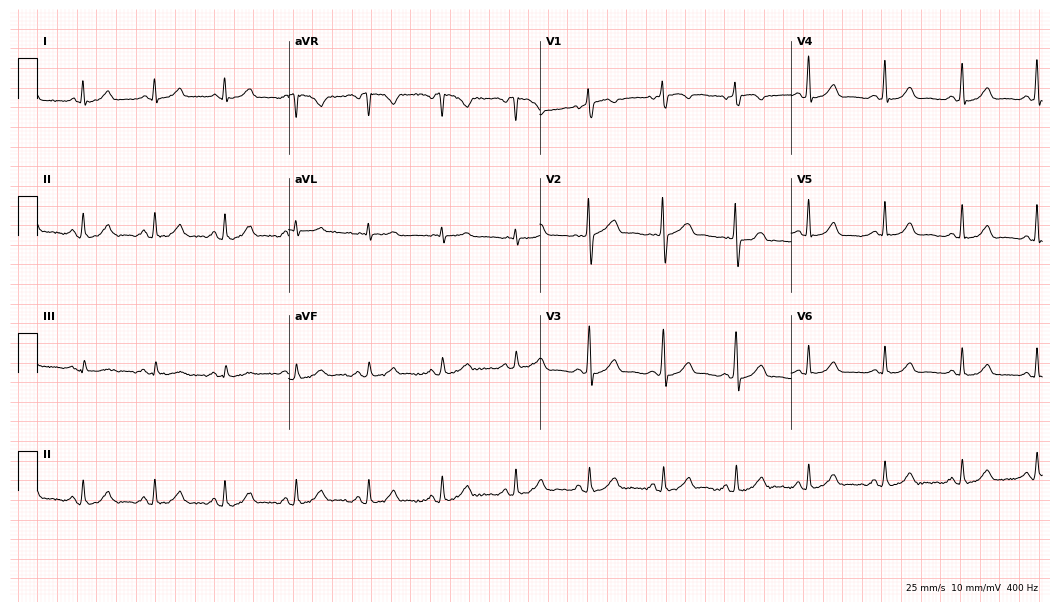
ECG — a female patient, 62 years old. Labelled as a normal ECG.